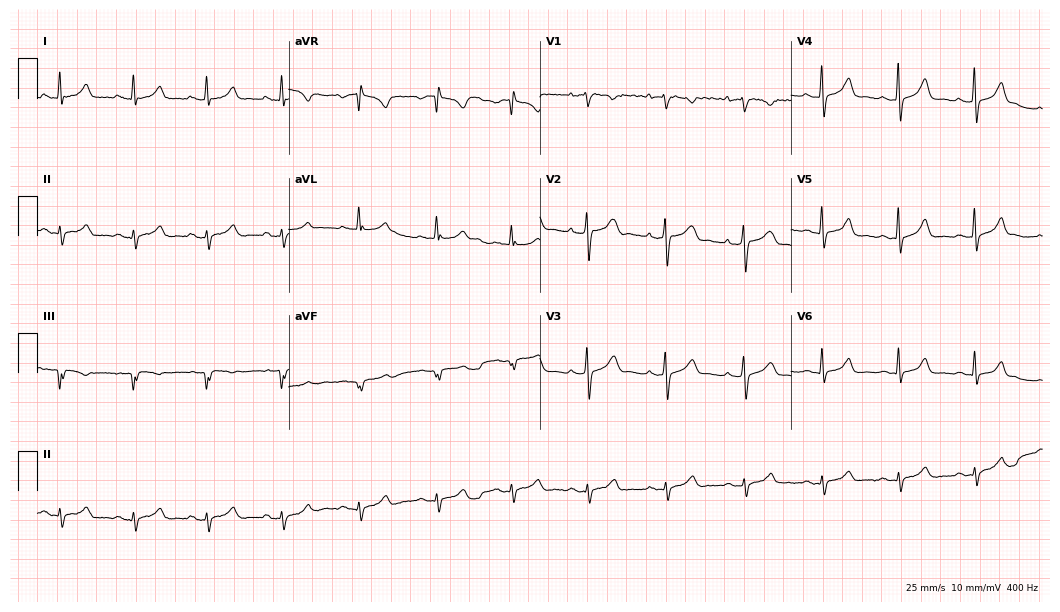
12-lead ECG from a 30-year-old female patient. Screened for six findings — first-degree AV block, right bundle branch block (RBBB), left bundle branch block (LBBB), sinus bradycardia, atrial fibrillation (AF), sinus tachycardia — none is recorded. Findings outside these six are not listed.